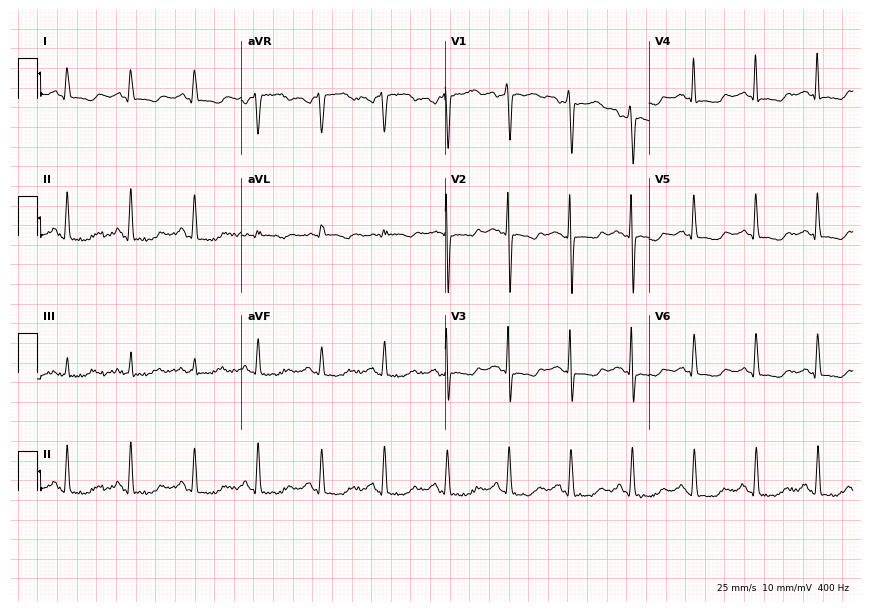
12-lead ECG from a female patient, 52 years old (8.3-second recording at 400 Hz). Recorded interpretation: within normal limits.